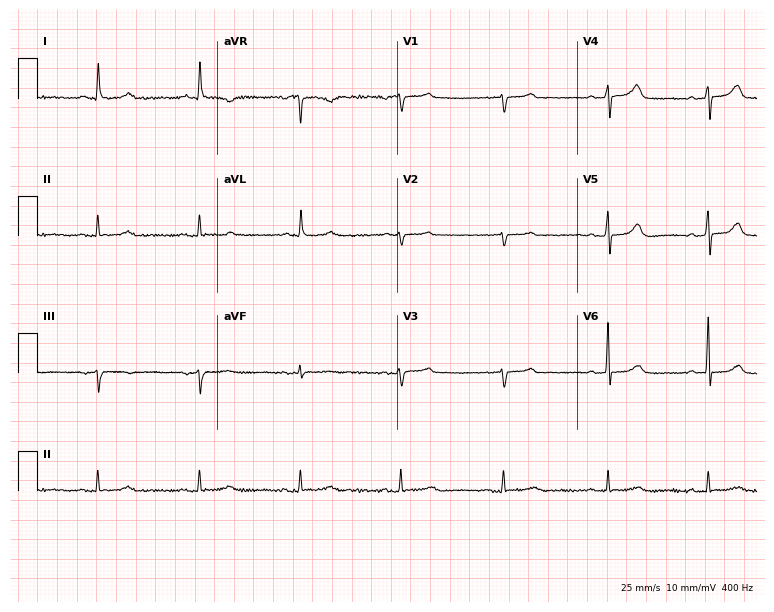
Standard 12-lead ECG recorded from a female, 78 years old. None of these six findings is recorded: first-degree AV block, right bundle branch block, left bundle branch block, sinus bradycardia, atrial fibrillation, sinus tachycardia.